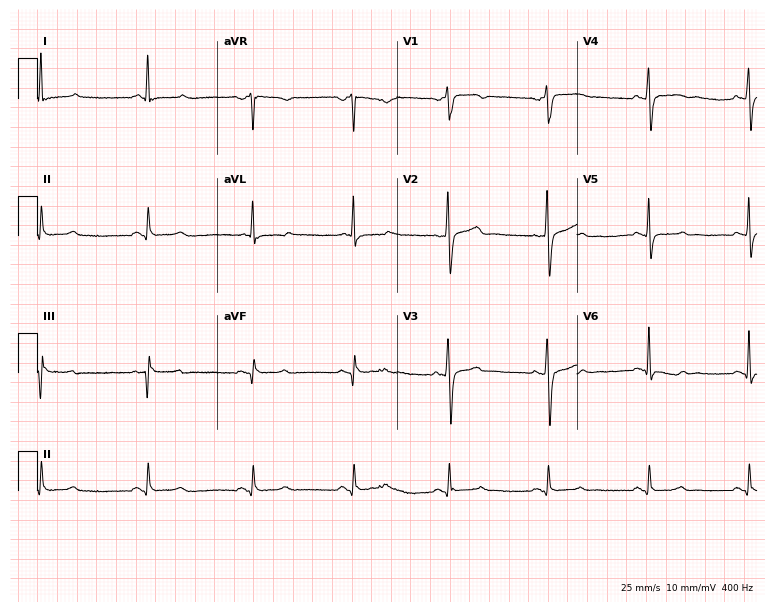
ECG — a man, 57 years old. Screened for six findings — first-degree AV block, right bundle branch block (RBBB), left bundle branch block (LBBB), sinus bradycardia, atrial fibrillation (AF), sinus tachycardia — none is recorded. Findings outside these six are not listed.